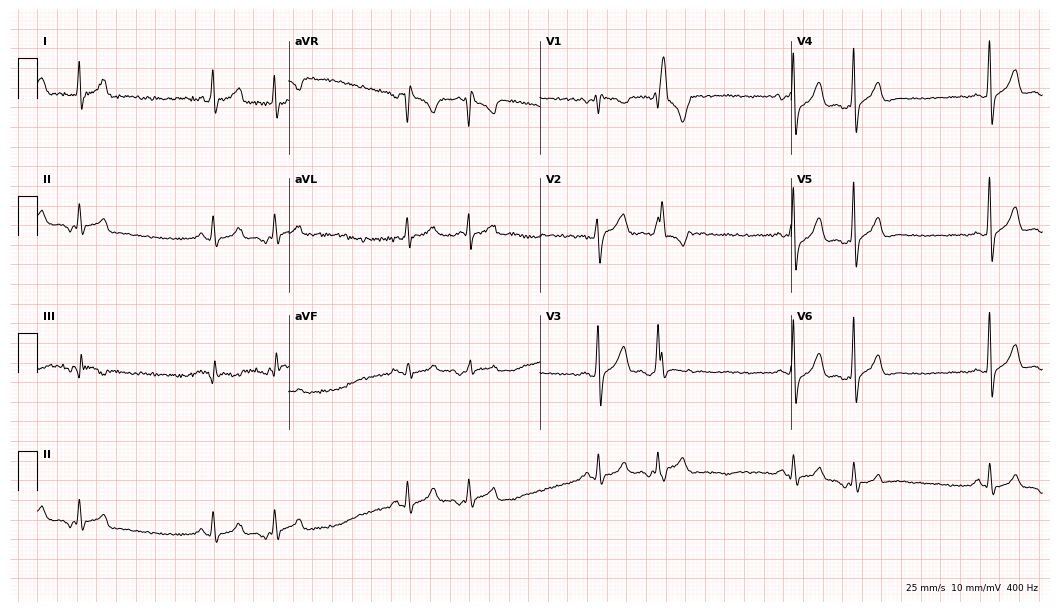
ECG (10.2-second recording at 400 Hz) — a male patient, 46 years old. Screened for six findings — first-degree AV block, right bundle branch block, left bundle branch block, sinus bradycardia, atrial fibrillation, sinus tachycardia — none is recorded. Other findings, if any, are not listed.